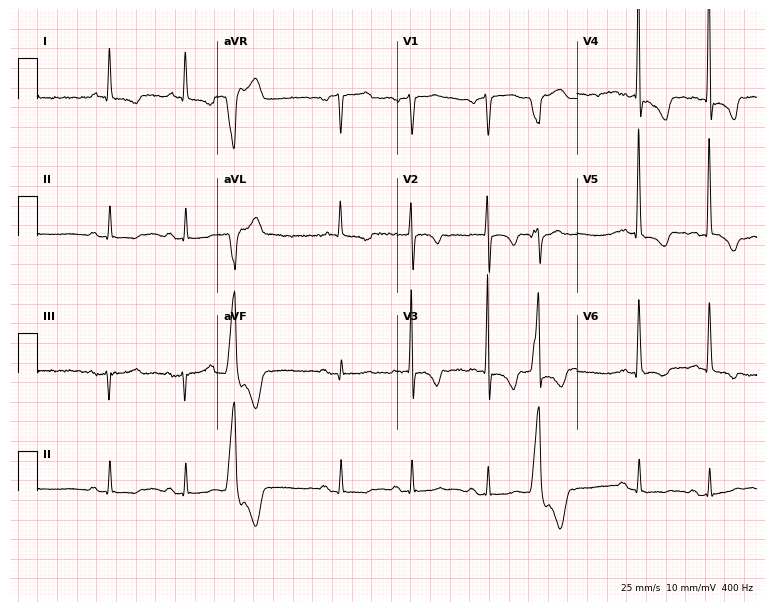
Standard 12-lead ECG recorded from a man, 54 years old. Read as a normal ECG.